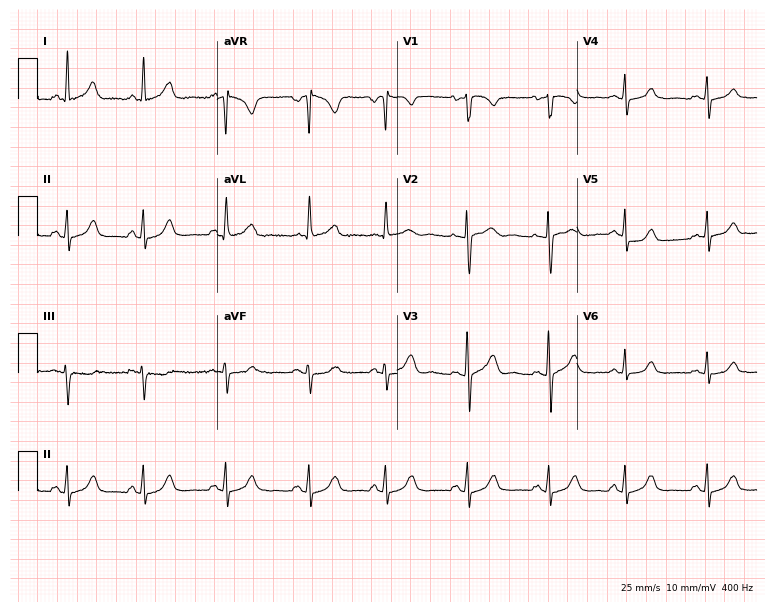
12-lead ECG from a female, 40 years old. Labelled as a normal ECG.